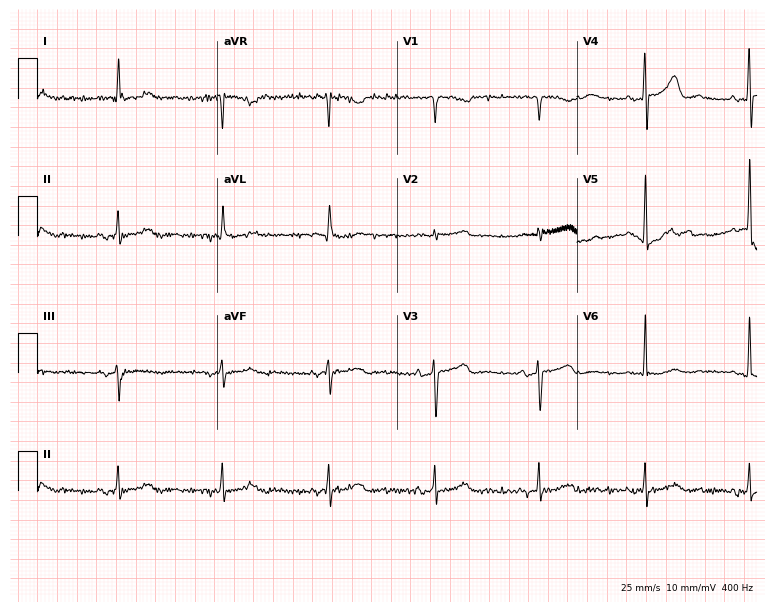
Standard 12-lead ECG recorded from a 76-year-old female (7.3-second recording at 400 Hz). None of these six findings is recorded: first-degree AV block, right bundle branch block, left bundle branch block, sinus bradycardia, atrial fibrillation, sinus tachycardia. Findings outside these six are not listed.